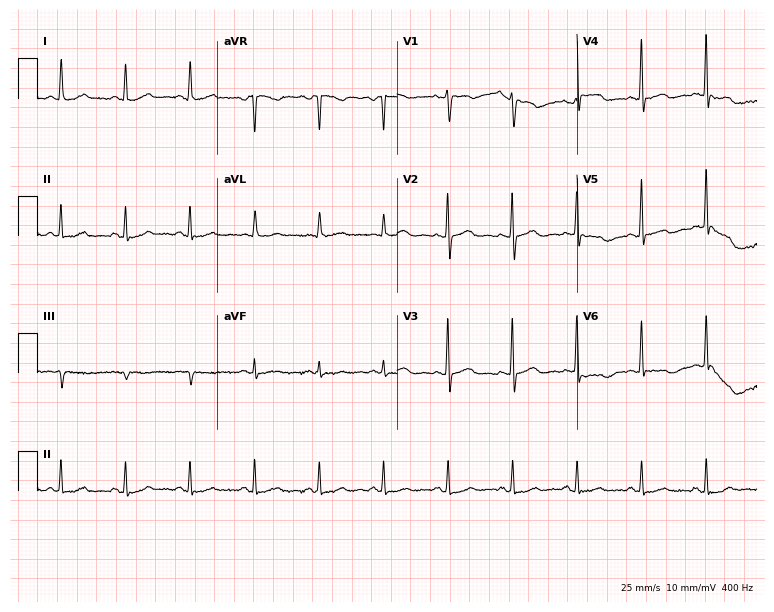
Electrocardiogram, a female patient, 56 years old. Overall reading on record: normal ECG.